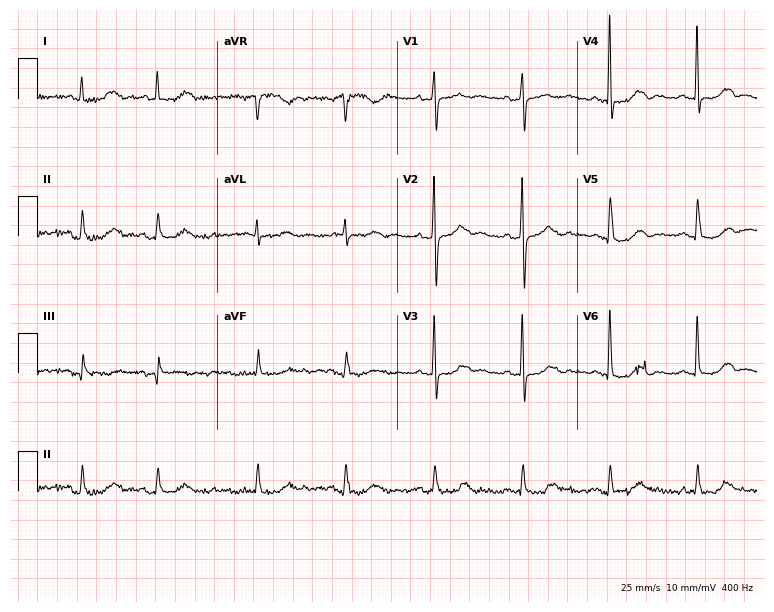
ECG — a female, 79 years old. Screened for six findings — first-degree AV block, right bundle branch block, left bundle branch block, sinus bradycardia, atrial fibrillation, sinus tachycardia — none is recorded.